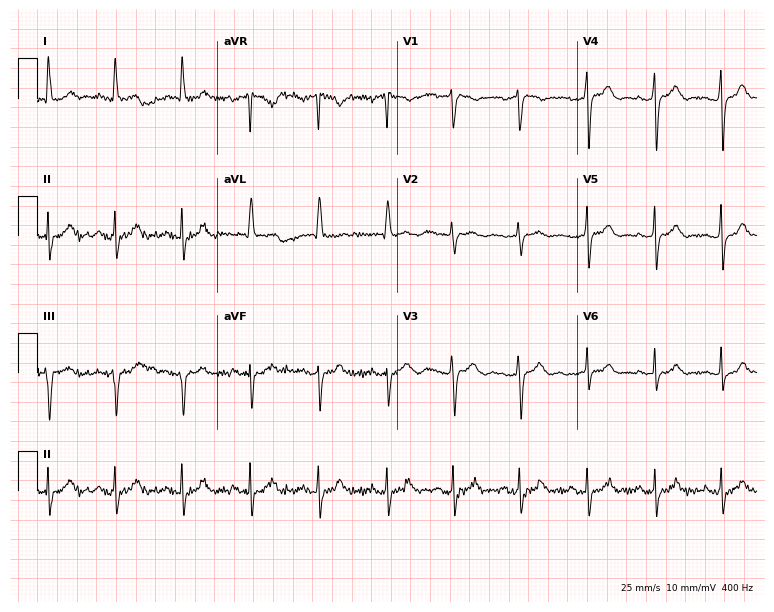
12-lead ECG from a 44-year-old female patient. No first-degree AV block, right bundle branch block, left bundle branch block, sinus bradycardia, atrial fibrillation or sinus tachycardia recorded for this tracing.